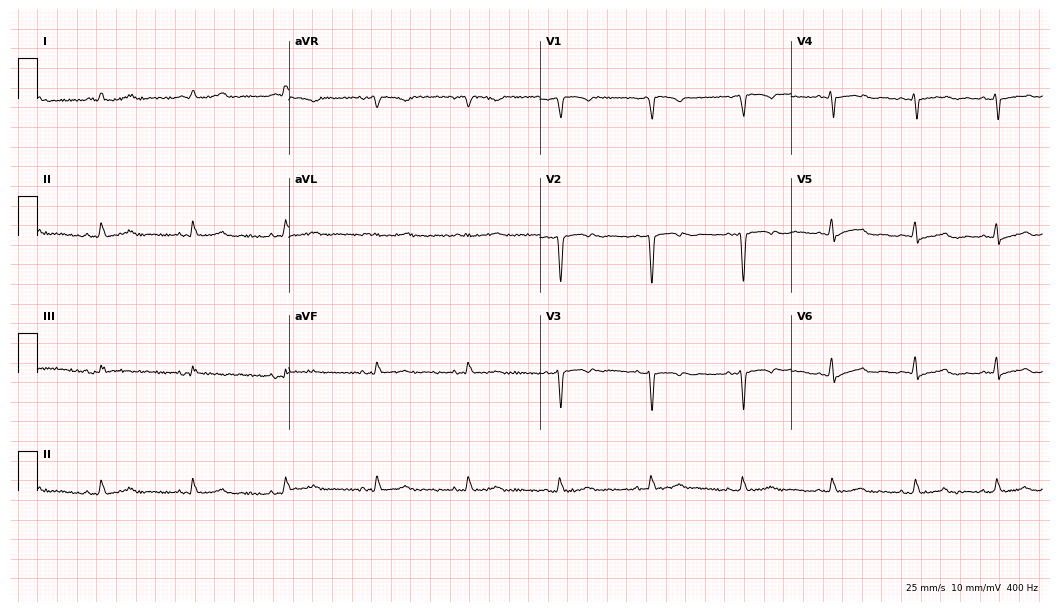
12-lead ECG from a woman, 77 years old (10.2-second recording at 400 Hz). No first-degree AV block, right bundle branch block, left bundle branch block, sinus bradycardia, atrial fibrillation or sinus tachycardia recorded for this tracing.